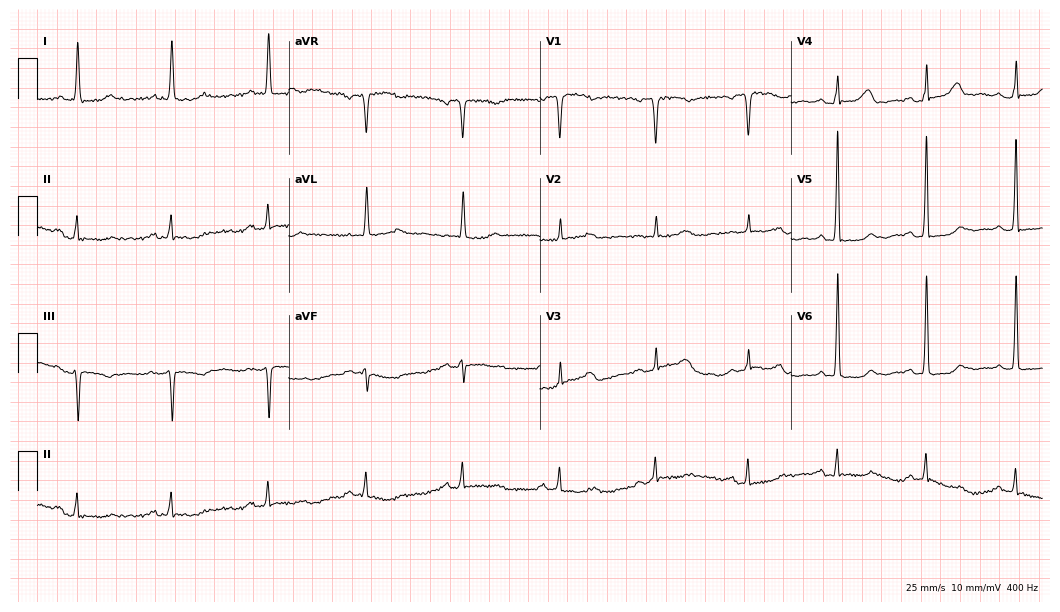
Standard 12-lead ECG recorded from a woman, 83 years old. Read as a normal ECG.